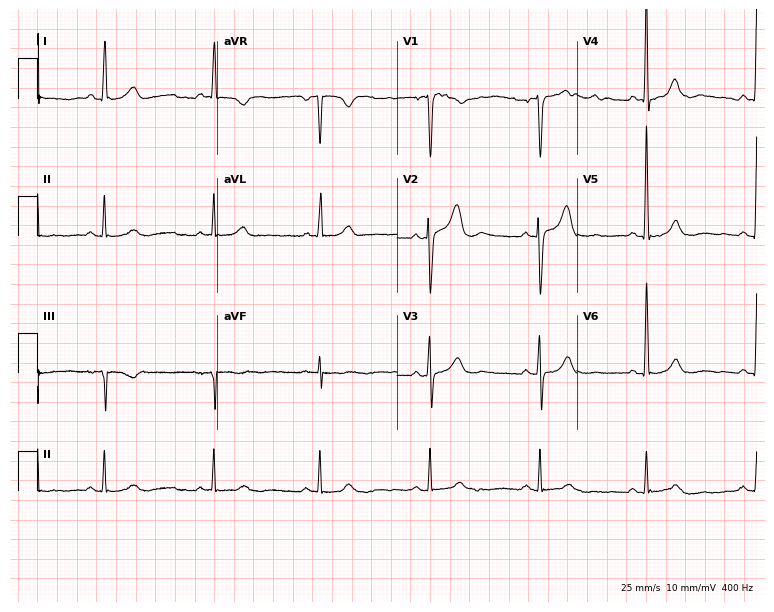
Standard 12-lead ECG recorded from a 65-year-old male patient. None of these six findings is recorded: first-degree AV block, right bundle branch block (RBBB), left bundle branch block (LBBB), sinus bradycardia, atrial fibrillation (AF), sinus tachycardia.